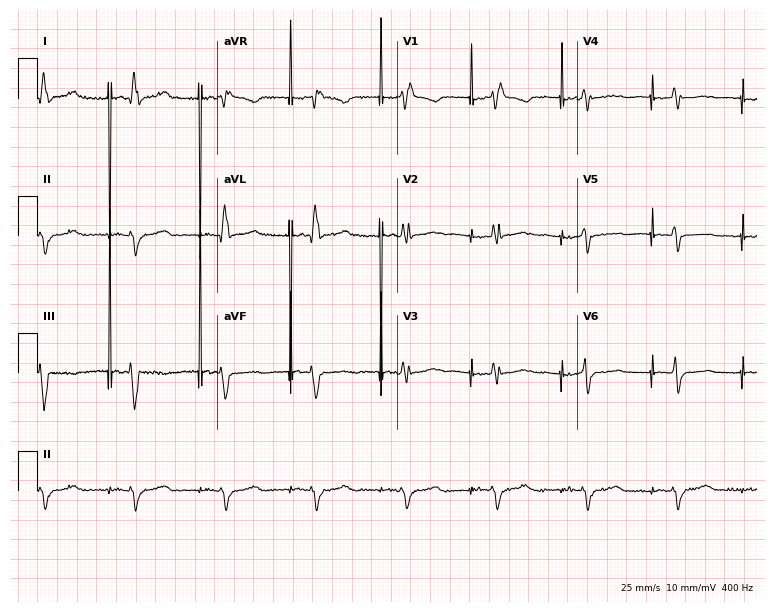
12-lead ECG from a 74-year-old female. No first-degree AV block, right bundle branch block (RBBB), left bundle branch block (LBBB), sinus bradycardia, atrial fibrillation (AF) or sinus tachycardia recorded for this tracing. Only these six findings were labelled.